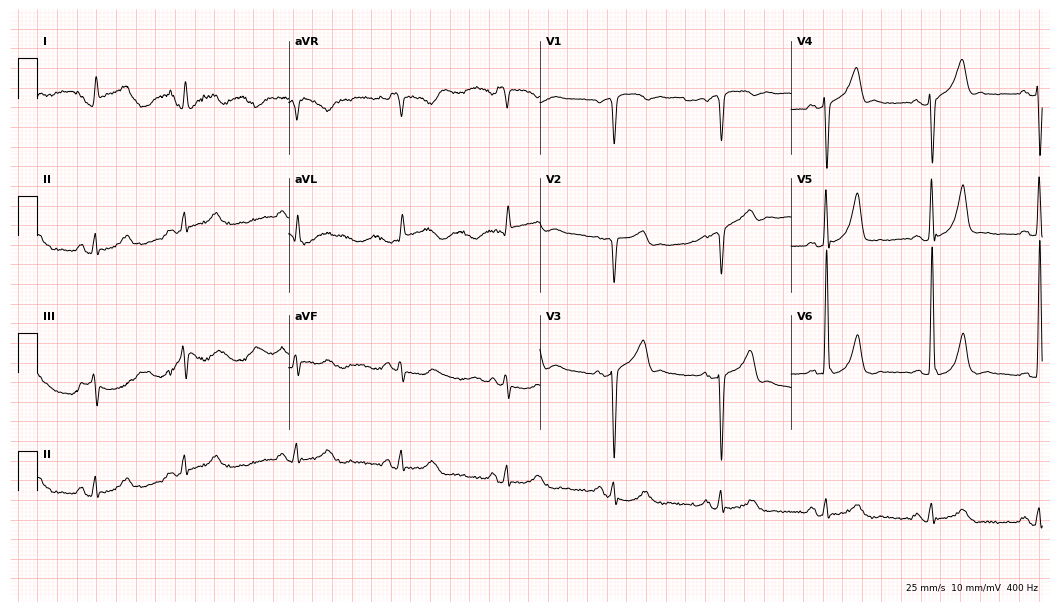
12-lead ECG (10.2-second recording at 400 Hz) from an 86-year-old man. Screened for six findings — first-degree AV block, right bundle branch block, left bundle branch block, sinus bradycardia, atrial fibrillation, sinus tachycardia — none is recorded. Only these six findings were labelled.